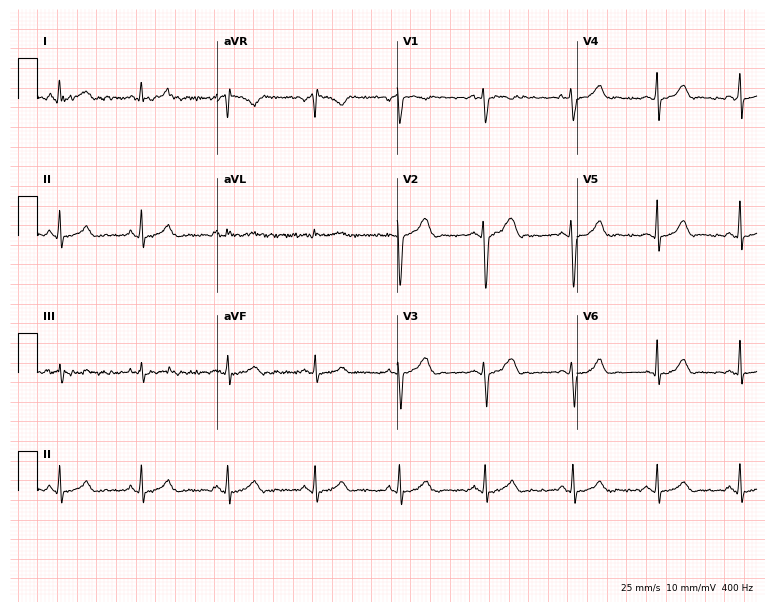
Electrocardiogram, a 21-year-old woman. Overall reading on record: normal ECG.